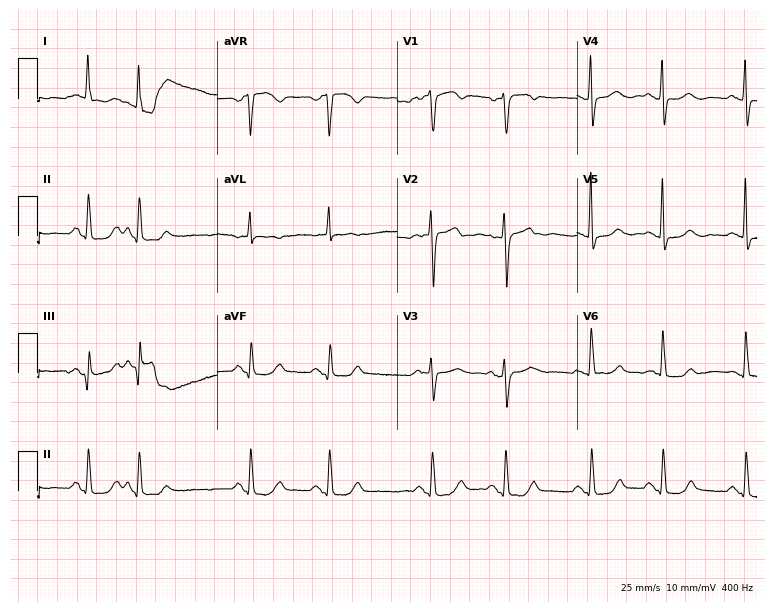
Electrocardiogram (7.3-second recording at 400 Hz), a 66-year-old female. Of the six screened findings (first-degree AV block, right bundle branch block, left bundle branch block, sinus bradycardia, atrial fibrillation, sinus tachycardia), none is recorded. Findings outside these six are not listed.